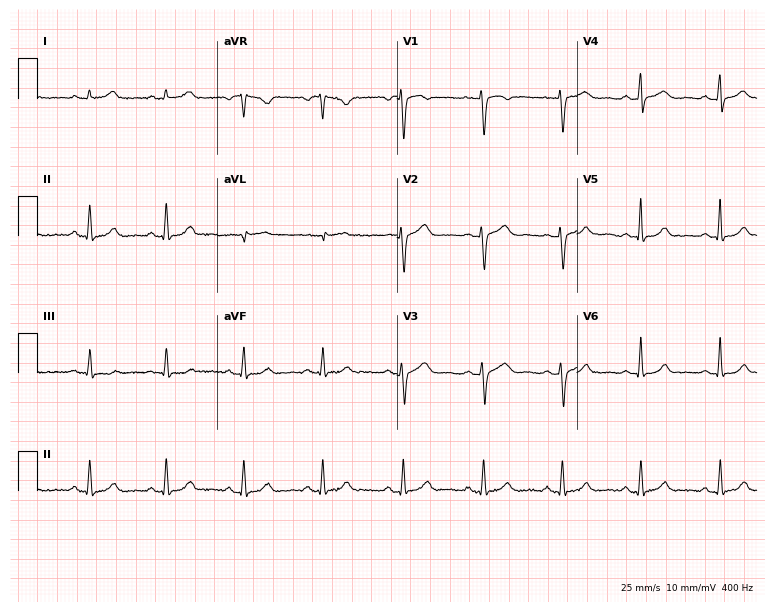
12-lead ECG from a 38-year-old female patient. No first-degree AV block, right bundle branch block, left bundle branch block, sinus bradycardia, atrial fibrillation or sinus tachycardia recorded for this tracing.